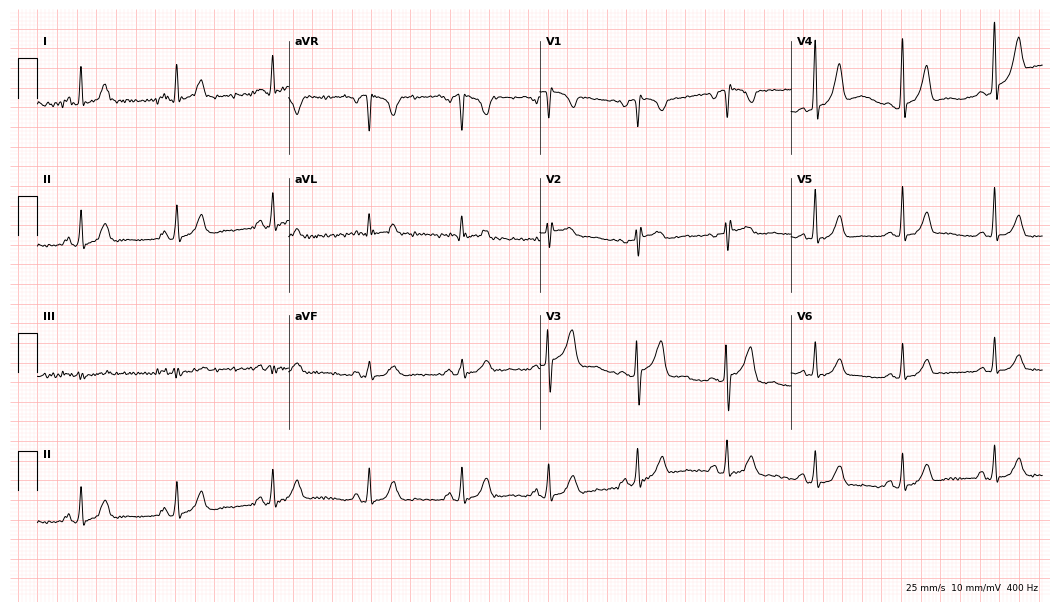
Resting 12-lead electrocardiogram. Patient: a woman, 44 years old. Read as a normal ECG.